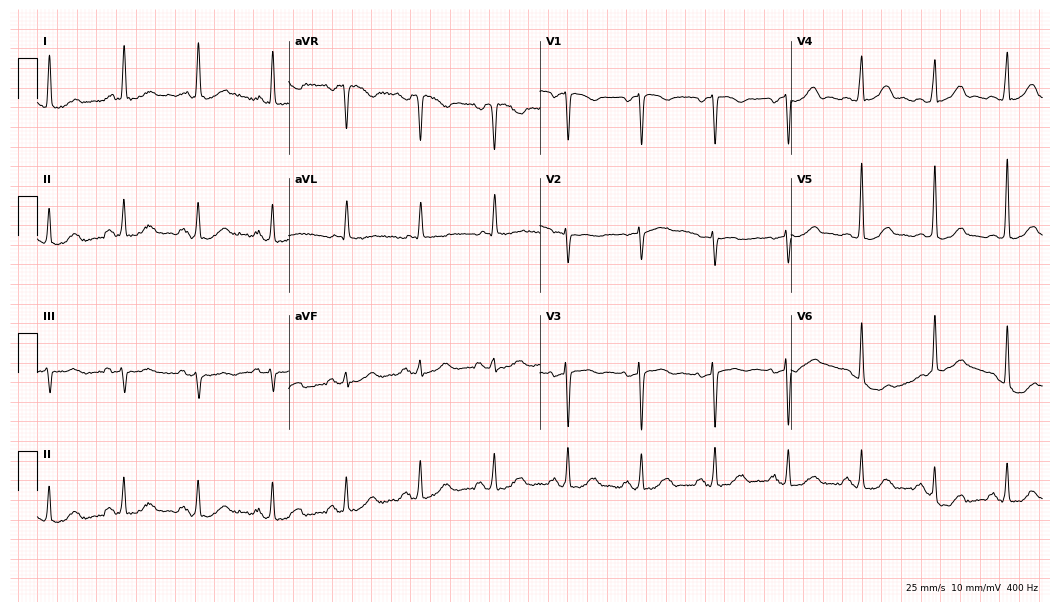
Resting 12-lead electrocardiogram (10.2-second recording at 400 Hz). Patient: a 79-year-old female. Read as a normal ECG.